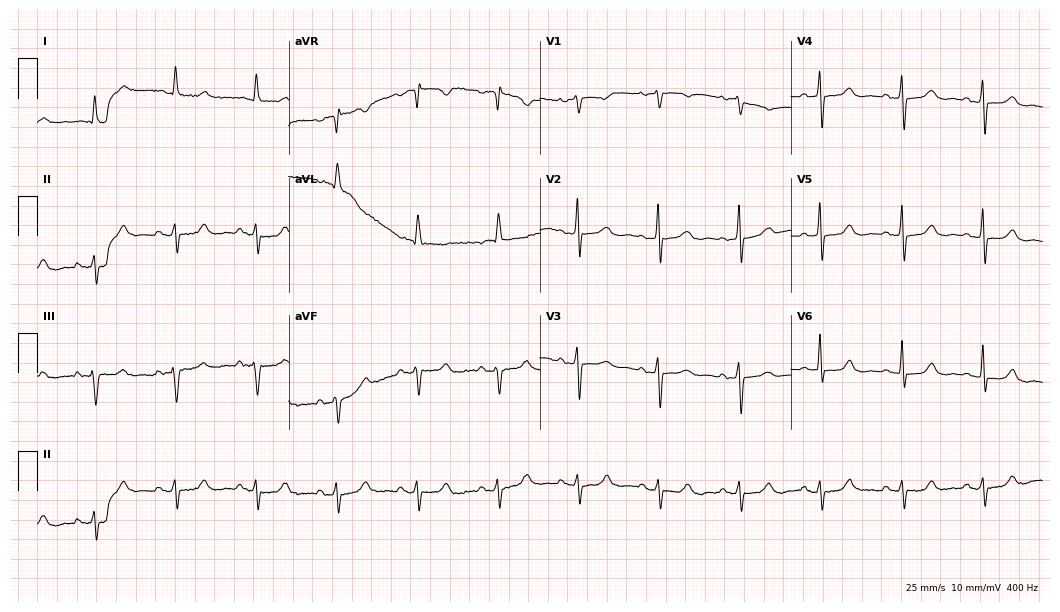
12-lead ECG (10.2-second recording at 400 Hz) from an 82-year-old woman. Screened for six findings — first-degree AV block, right bundle branch block, left bundle branch block, sinus bradycardia, atrial fibrillation, sinus tachycardia — none is recorded.